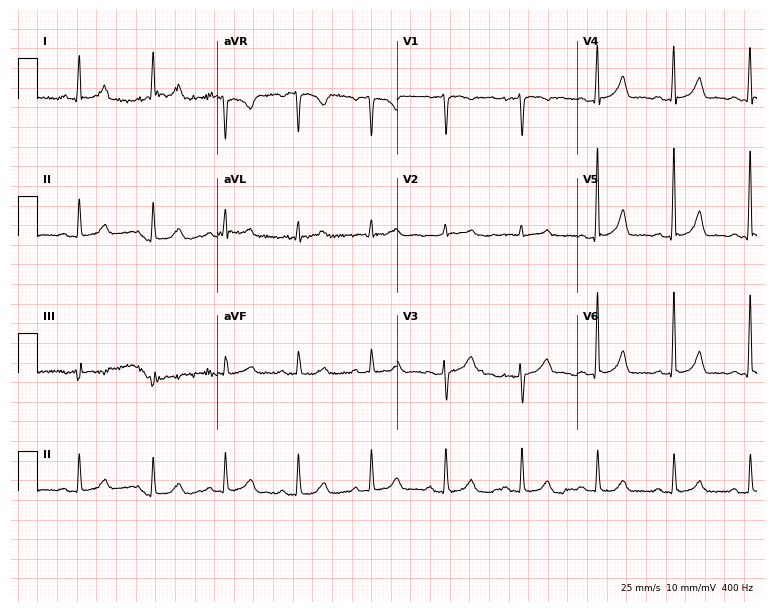
Resting 12-lead electrocardiogram. Patient: a female, 60 years old. Read as a normal ECG.